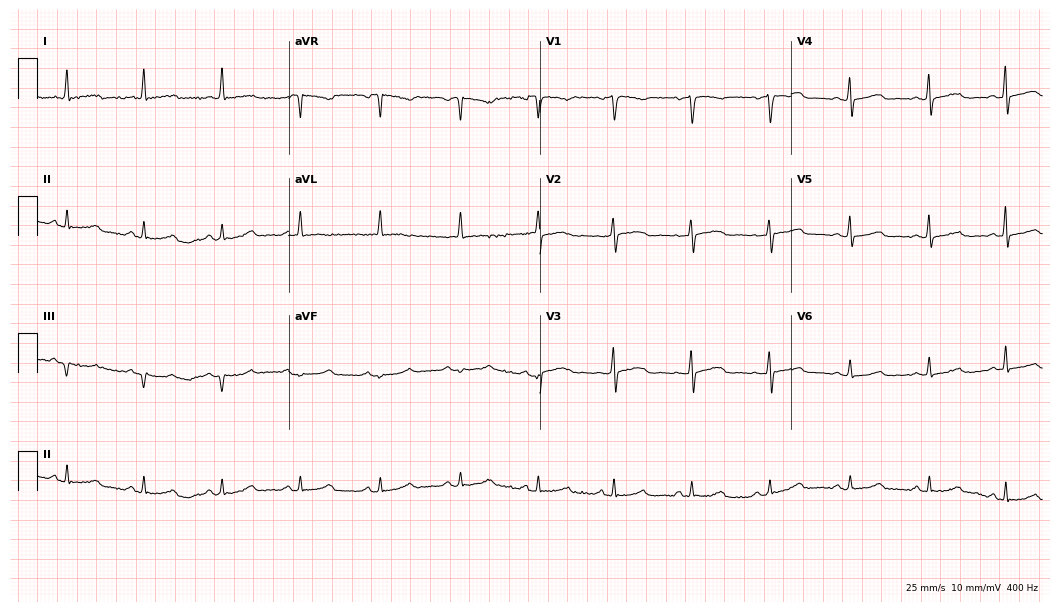
ECG — a woman, 74 years old. Screened for six findings — first-degree AV block, right bundle branch block (RBBB), left bundle branch block (LBBB), sinus bradycardia, atrial fibrillation (AF), sinus tachycardia — none is recorded.